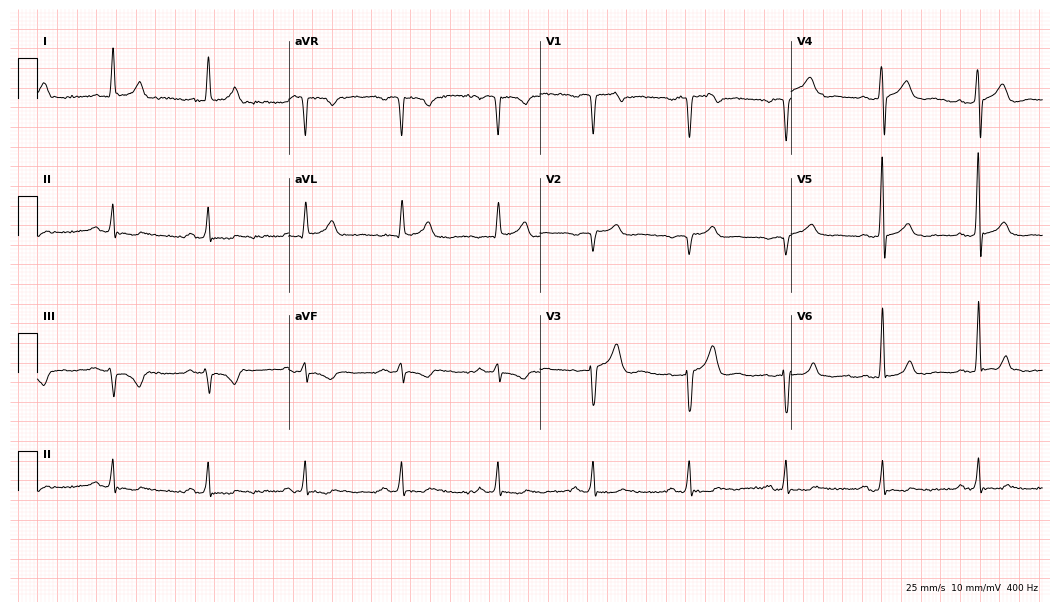
Resting 12-lead electrocardiogram (10.2-second recording at 400 Hz). Patient: a 70-year-old man. None of these six findings is recorded: first-degree AV block, right bundle branch block, left bundle branch block, sinus bradycardia, atrial fibrillation, sinus tachycardia. Only these six findings were labelled.